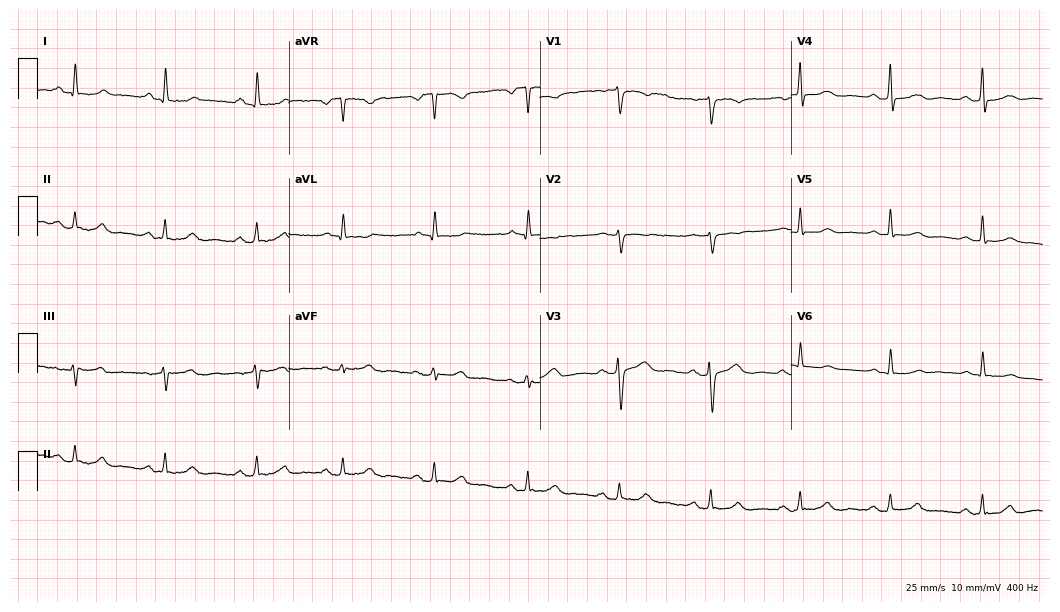
Resting 12-lead electrocardiogram (10.2-second recording at 400 Hz). Patient: a 62-year-old female. Read as a normal ECG.